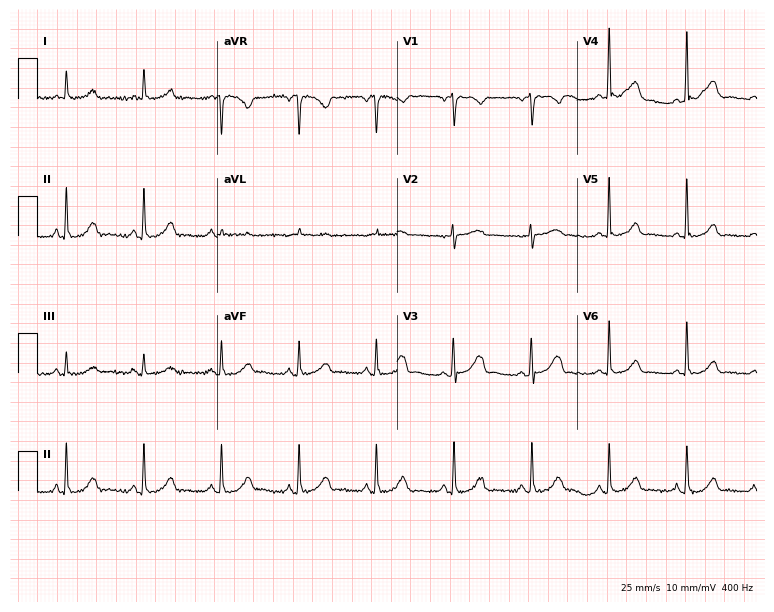
Electrocardiogram, a 77-year-old female patient. Overall reading on record: normal ECG.